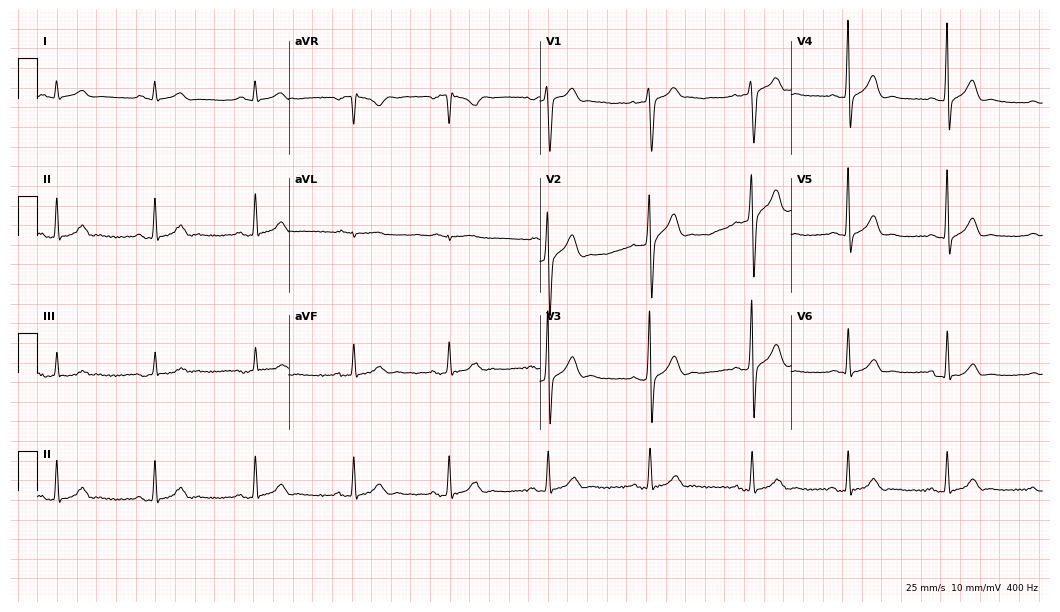
12-lead ECG from a 34-year-old male patient. Recorded interpretation: within normal limits.